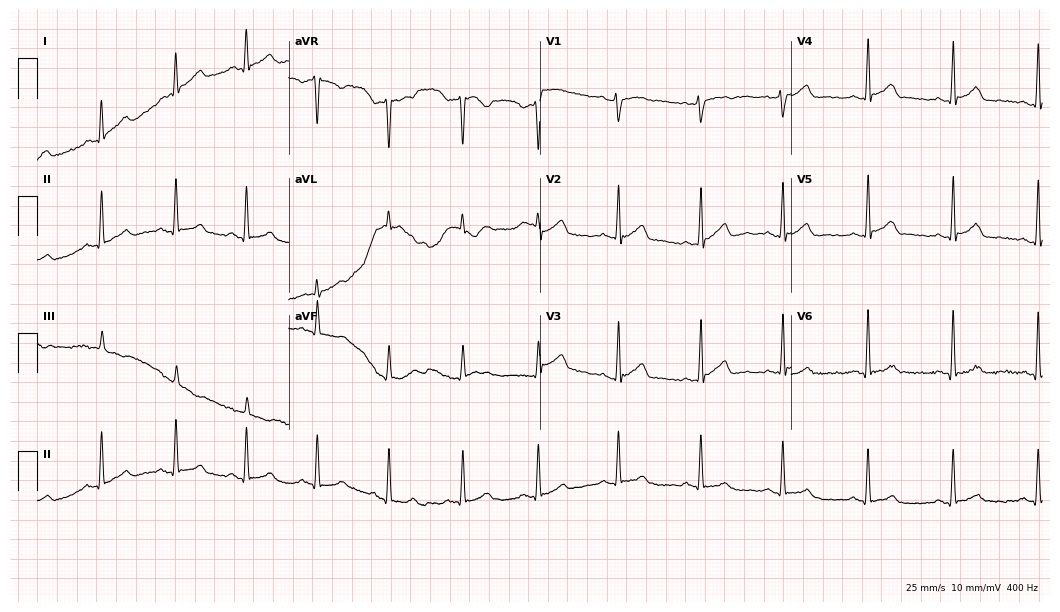
Standard 12-lead ECG recorded from a male patient, 31 years old (10.2-second recording at 400 Hz). Read as a normal ECG.